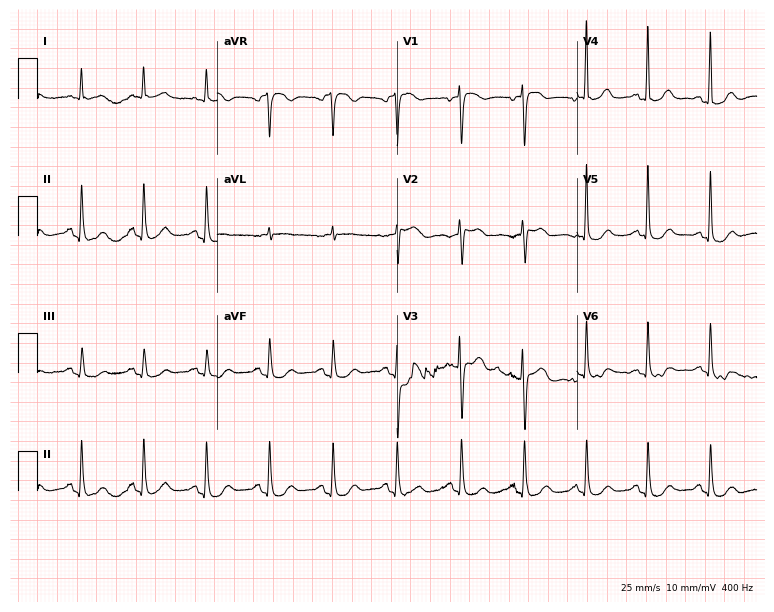
12-lead ECG from an 85-year-old female patient. Screened for six findings — first-degree AV block, right bundle branch block, left bundle branch block, sinus bradycardia, atrial fibrillation, sinus tachycardia — none is recorded. Findings outside these six are not listed.